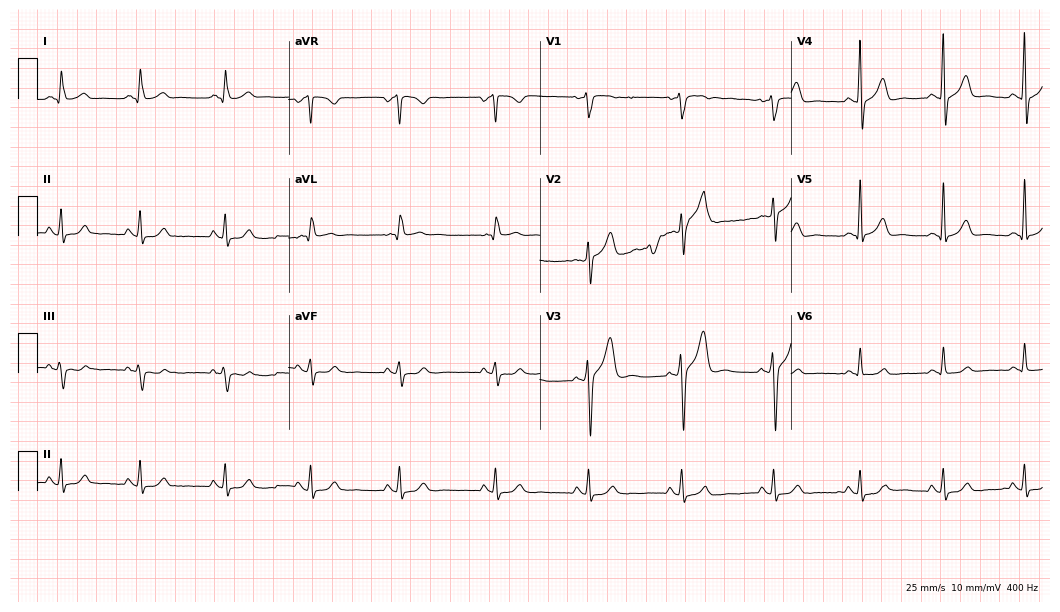
Electrocardiogram, a 39-year-old male. Of the six screened findings (first-degree AV block, right bundle branch block, left bundle branch block, sinus bradycardia, atrial fibrillation, sinus tachycardia), none is recorded. Other findings, if any, are not listed.